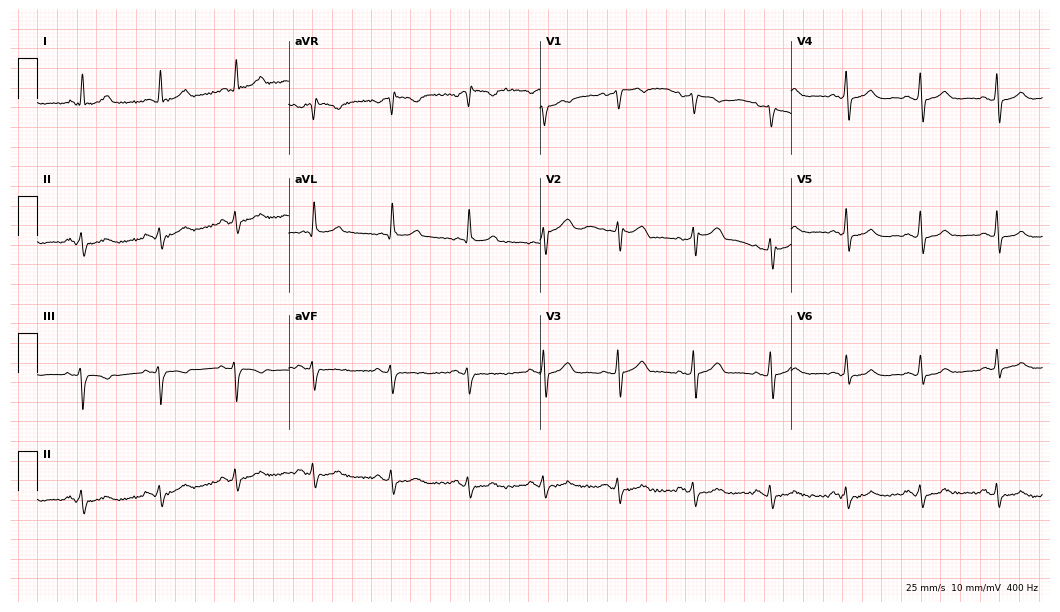
12-lead ECG from a 66-year-old woman (10.2-second recording at 400 Hz). Recorded interpretation: within normal limits.